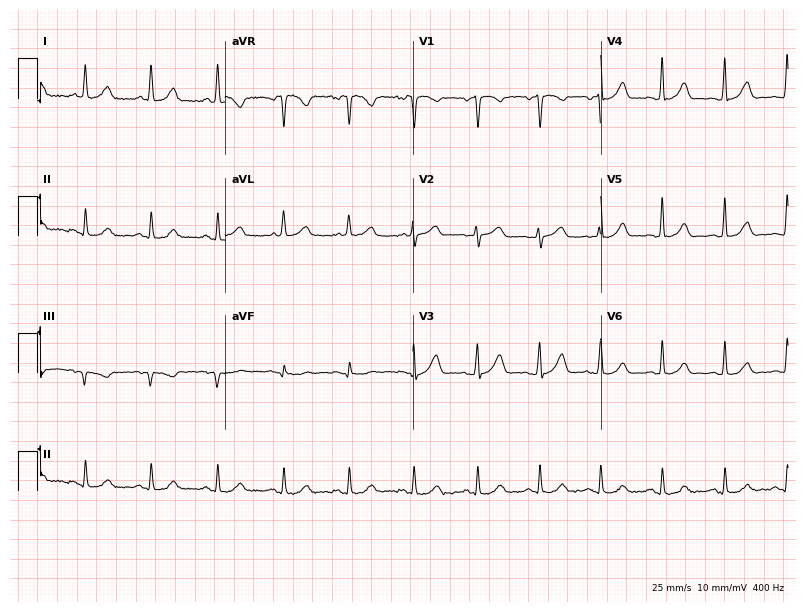
12-lead ECG from a 60-year-old female patient. Screened for six findings — first-degree AV block, right bundle branch block, left bundle branch block, sinus bradycardia, atrial fibrillation, sinus tachycardia — none is recorded. Findings outside these six are not listed.